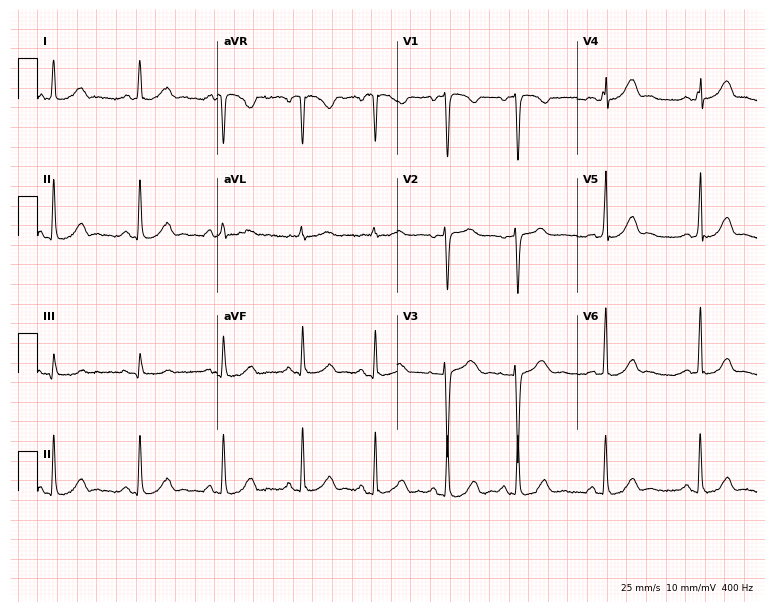
Resting 12-lead electrocardiogram (7.3-second recording at 400 Hz). Patient: a 45-year-old female. Read as a normal ECG.